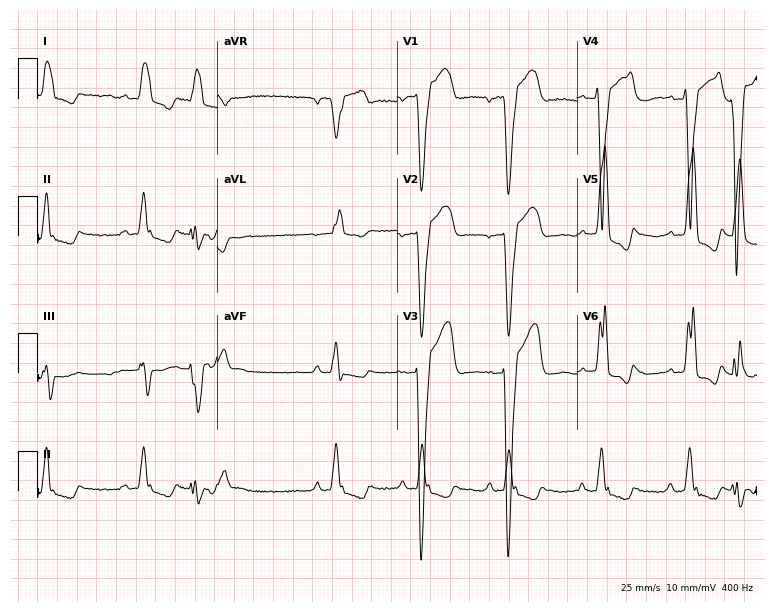
Standard 12-lead ECG recorded from a male, 71 years old. The tracing shows left bundle branch block.